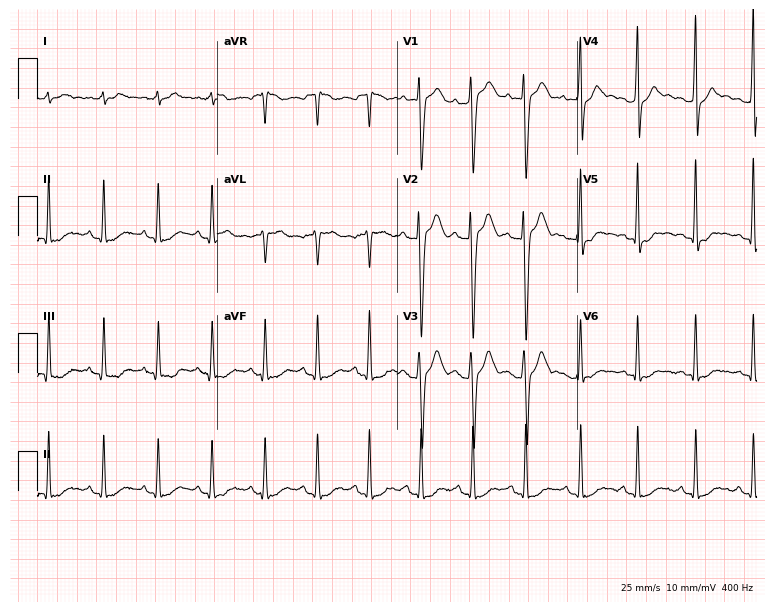
12-lead ECG from a 21-year-old male. Findings include sinus tachycardia (a sinus rate of 100 beats per minute or more).